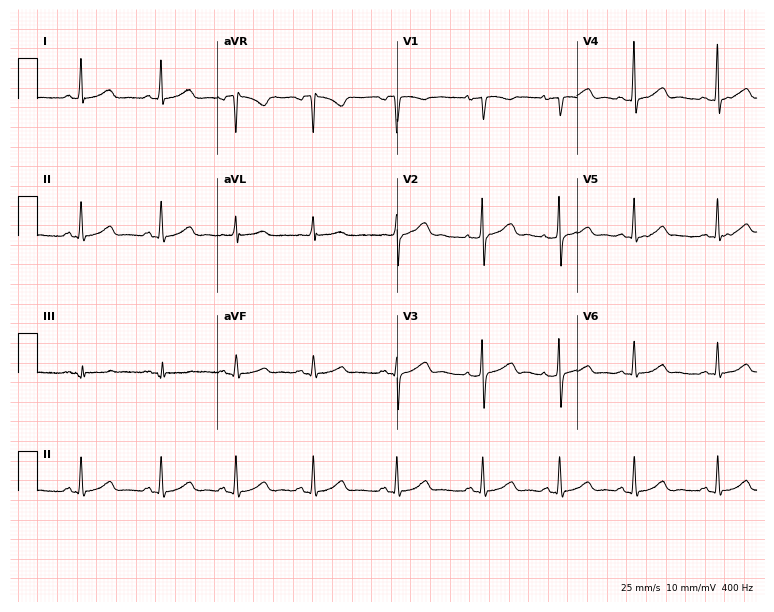
Resting 12-lead electrocardiogram. Patient: a 39-year-old female. Read as a normal ECG.